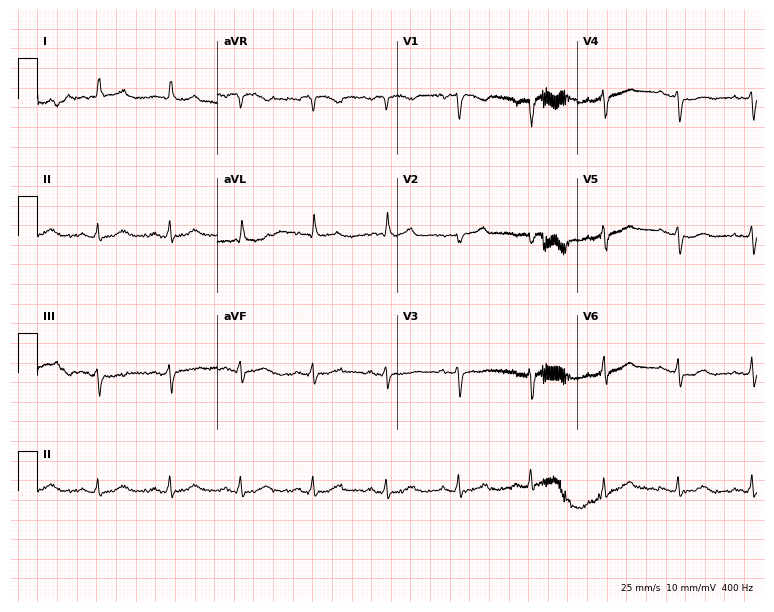
Resting 12-lead electrocardiogram. Patient: a 76-year-old woman. None of these six findings is recorded: first-degree AV block, right bundle branch block, left bundle branch block, sinus bradycardia, atrial fibrillation, sinus tachycardia.